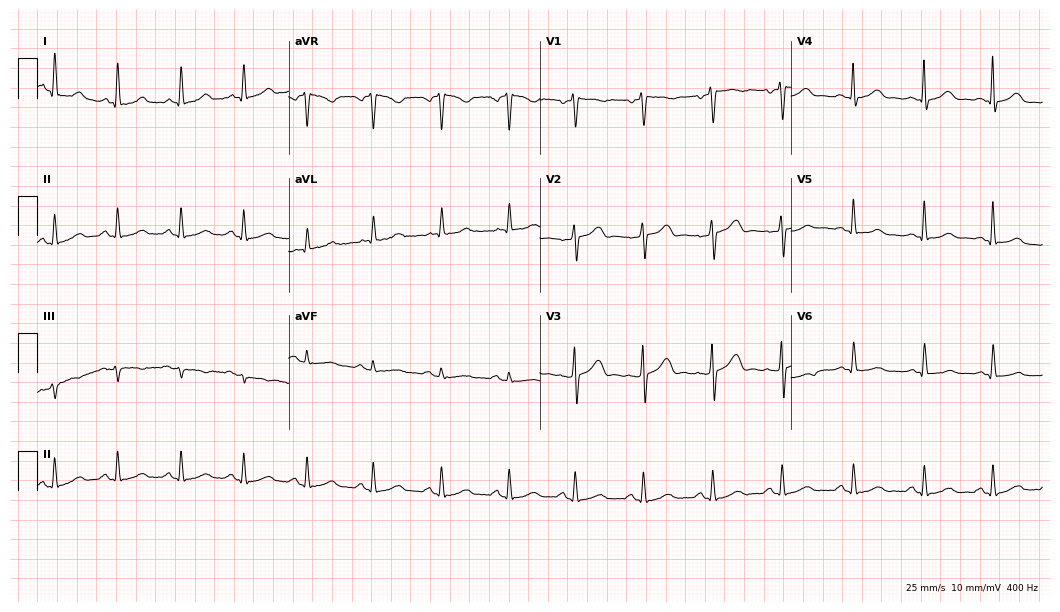
ECG — a 43-year-old woman. Screened for six findings — first-degree AV block, right bundle branch block (RBBB), left bundle branch block (LBBB), sinus bradycardia, atrial fibrillation (AF), sinus tachycardia — none is recorded.